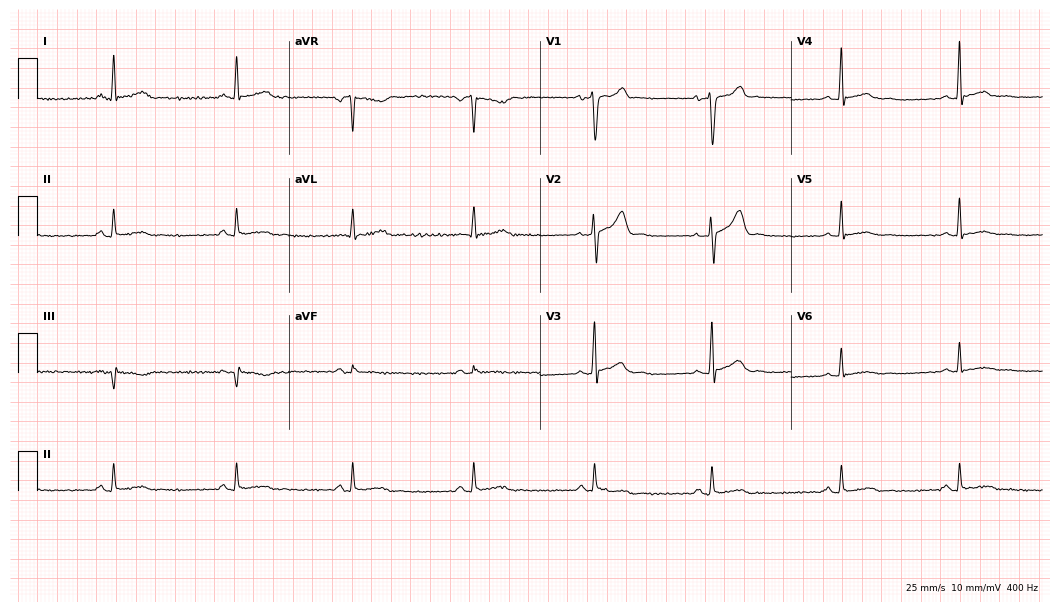
Electrocardiogram (10.2-second recording at 400 Hz), a man, 54 years old. Interpretation includes sinus bradycardia (a sinus rate of 50 beats per minute or less).